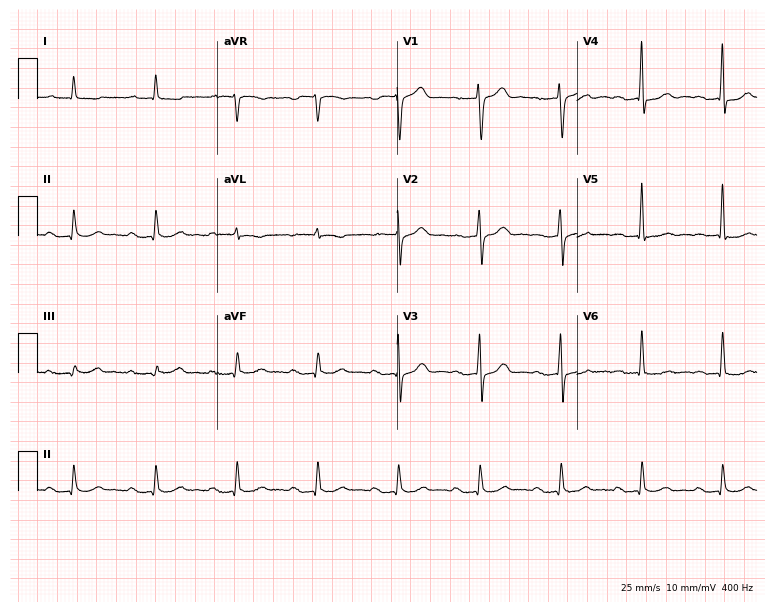
Standard 12-lead ECG recorded from a male patient, 73 years old. The tracing shows first-degree AV block.